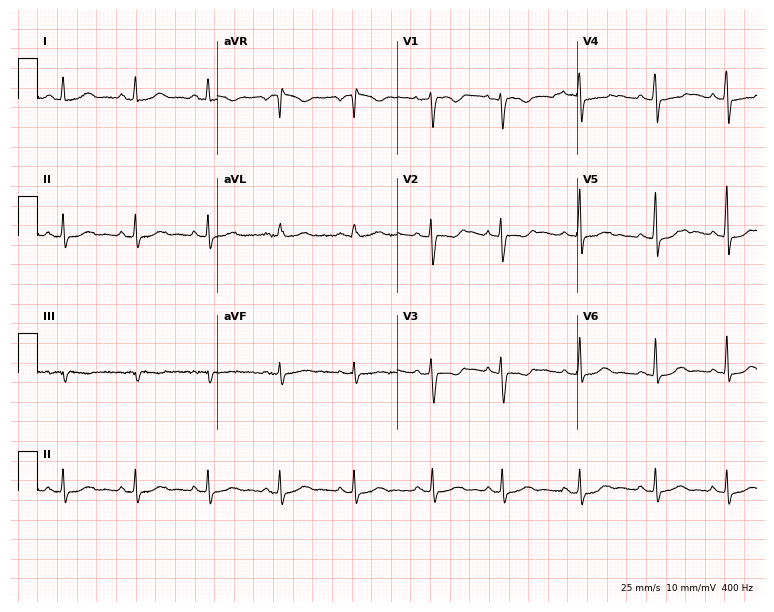
Resting 12-lead electrocardiogram (7.3-second recording at 400 Hz). Patient: a female, 28 years old. None of these six findings is recorded: first-degree AV block, right bundle branch block (RBBB), left bundle branch block (LBBB), sinus bradycardia, atrial fibrillation (AF), sinus tachycardia. Only these six findings were labelled.